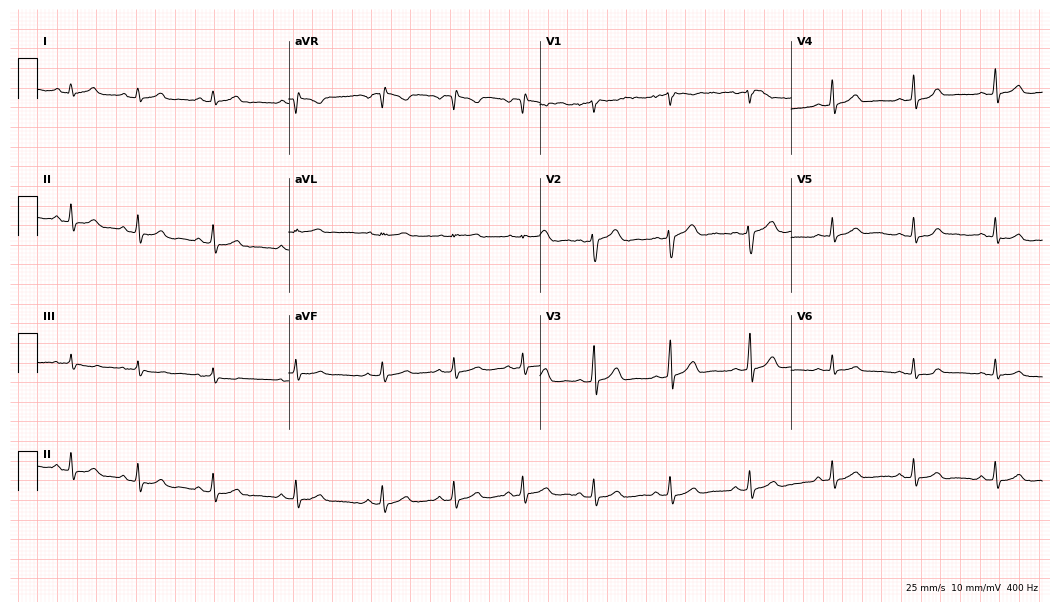
12-lead ECG (10.2-second recording at 400 Hz) from a 21-year-old female. Labelled as a normal ECG.